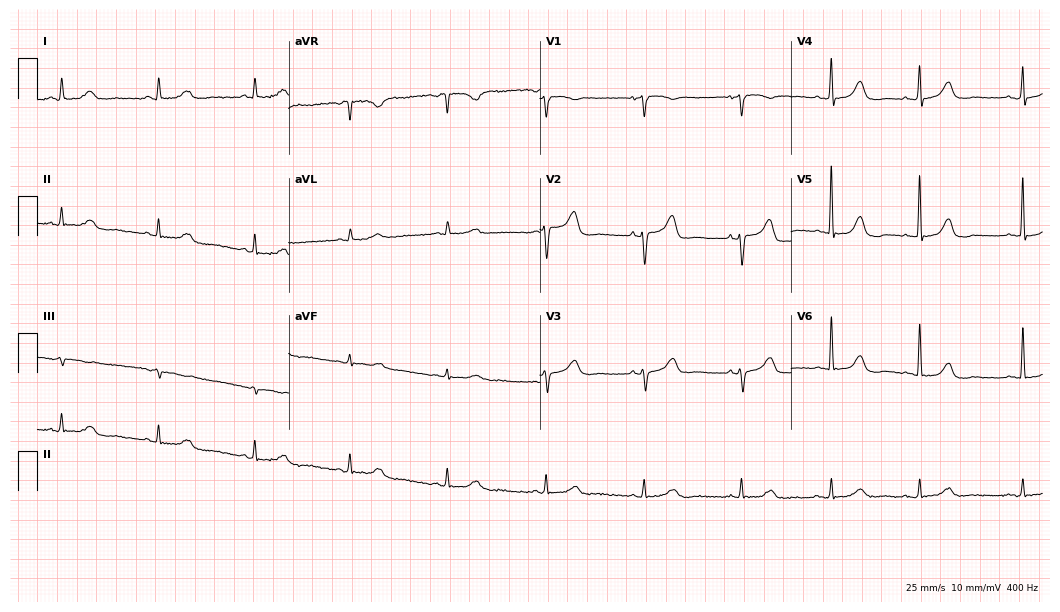
12-lead ECG from a female, 82 years old. Recorded interpretation: within normal limits.